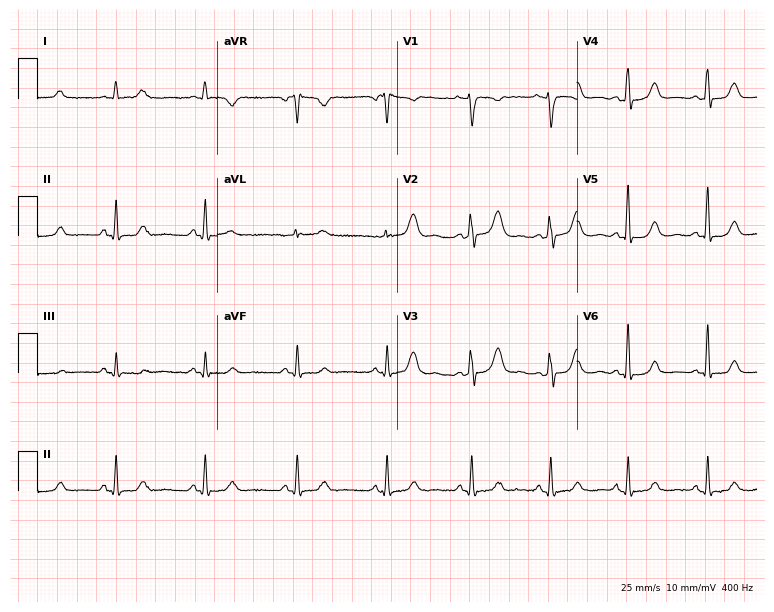
12-lead ECG from a female patient, 37 years old. Screened for six findings — first-degree AV block, right bundle branch block (RBBB), left bundle branch block (LBBB), sinus bradycardia, atrial fibrillation (AF), sinus tachycardia — none is recorded. Findings outside these six are not listed.